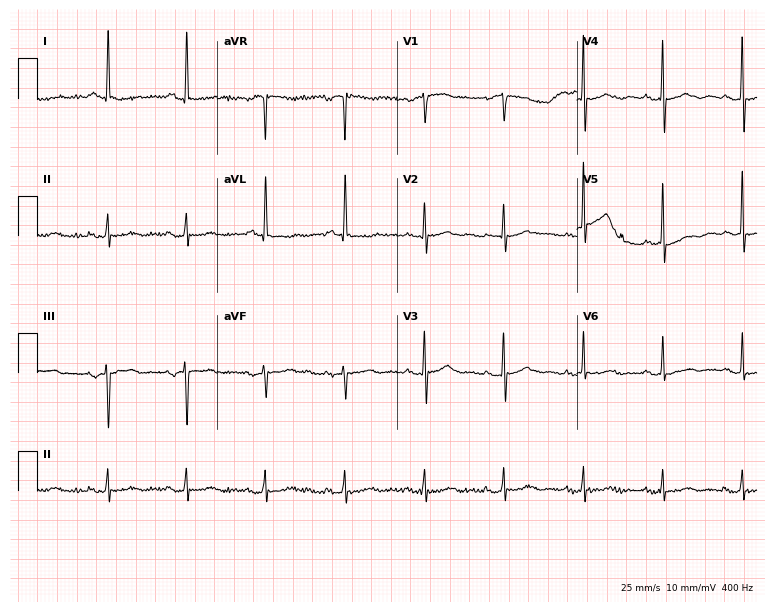
Resting 12-lead electrocardiogram (7.3-second recording at 400 Hz). Patient: a 78-year-old woman. None of these six findings is recorded: first-degree AV block, right bundle branch block, left bundle branch block, sinus bradycardia, atrial fibrillation, sinus tachycardia.